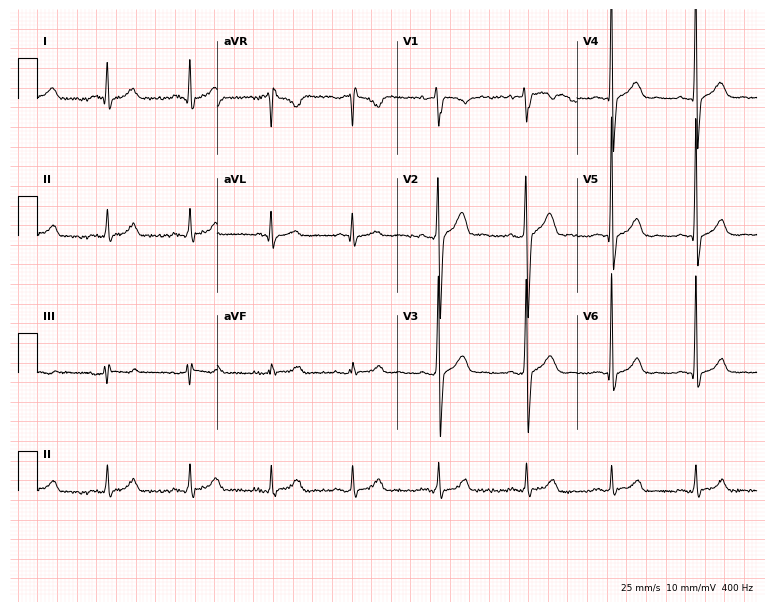
Standard 12-lead ECG recorded from a 39-year-old male patient (7.3-second recording at 400 Hz). None of these six findings is recorded: first-degree AV block, right bundle branch block (RBBB), left bundle branch block (LBBB), sinus bradycardia, atrial fibrillation (AF), sinus tachycardia.